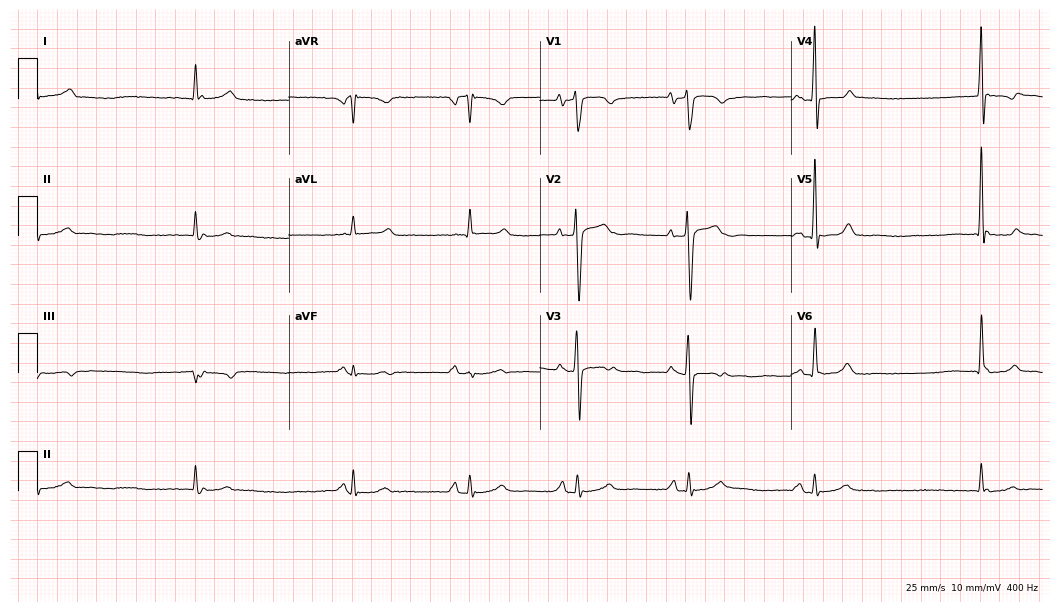
Electrocardiogram, a man, 56 years old. Interpretation includes sinus bradycardia (a sinus rate of 50 beats per minute or less).